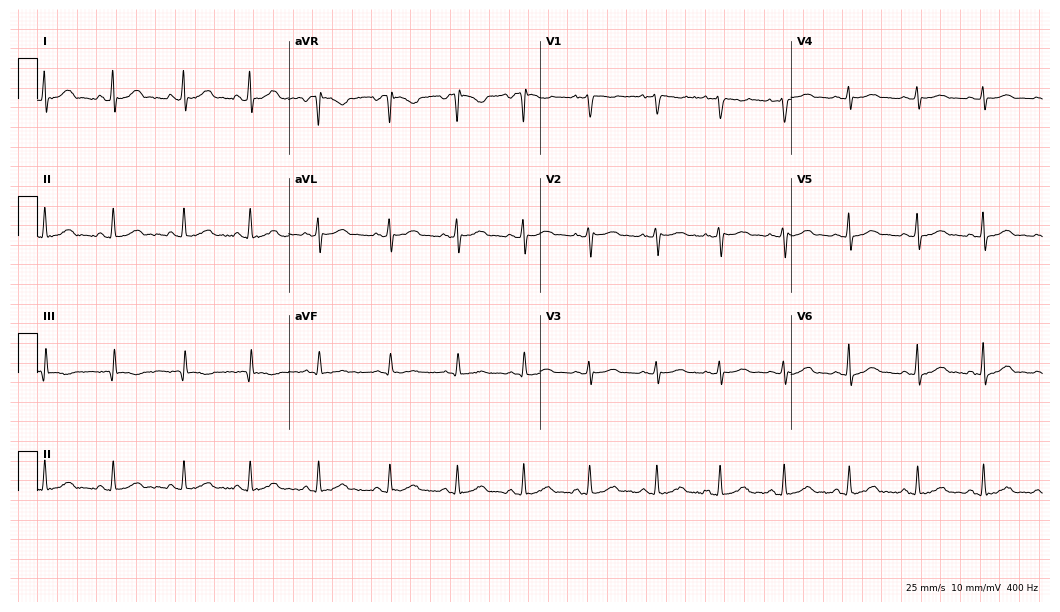
Standard 12-lead ECG recorded from a woman, 20 years old. Read as a normal ECG.